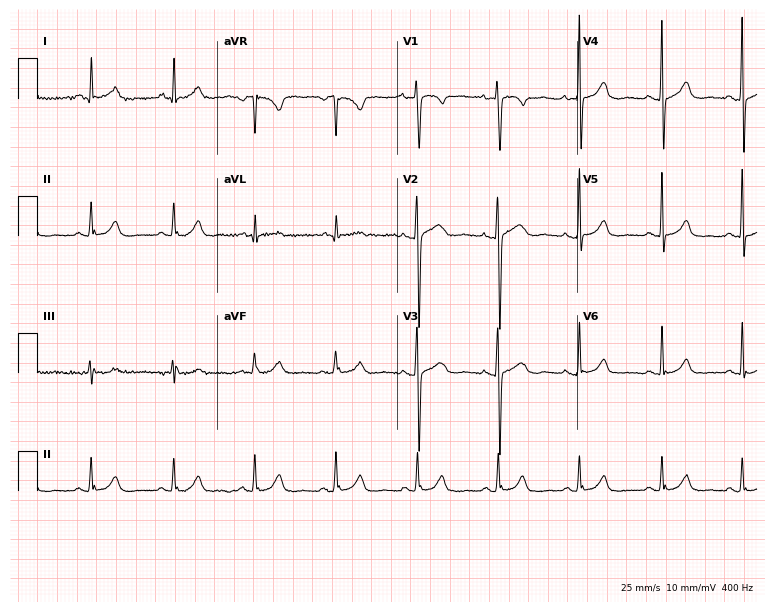
12-lead ECG from a 65-year-old female. Recorded interpretation: within normal limits.